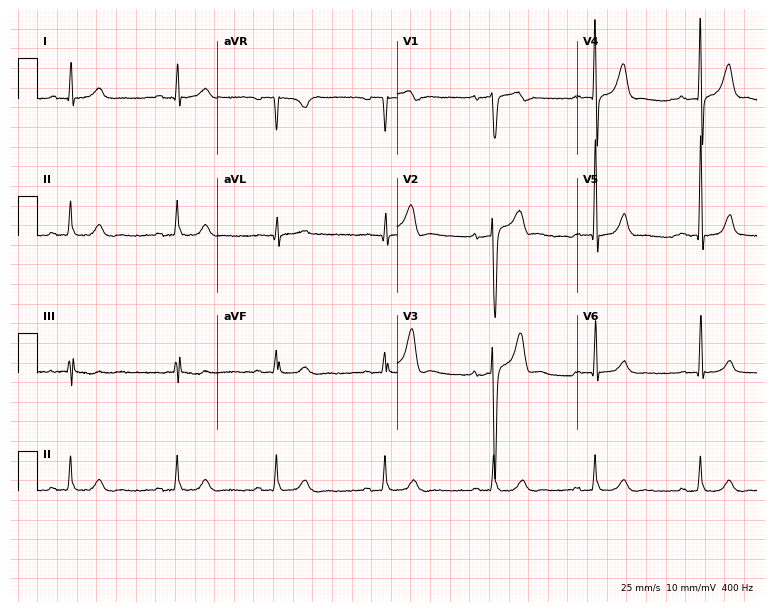
Resting 12-lead electrocardiogram. Patient: a male, 65 years old. Read as a normal ECG.